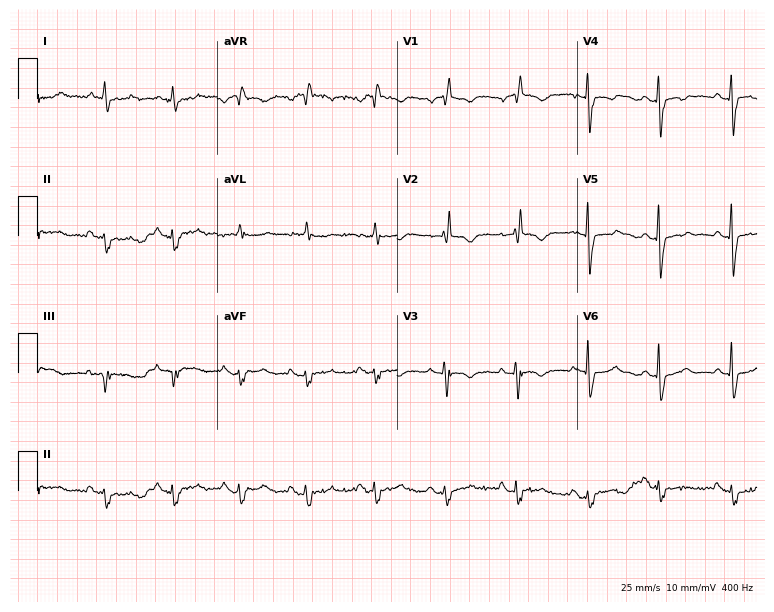
12-lead ECG from a female, 71 years old. Screened for six findings — first-degree AV block, right bundle branch block, left bundle branch block, sinus bradycardia, atrial fibrillation, sinus tachycardia — none is recorded. Other findings, if any, are not listed.